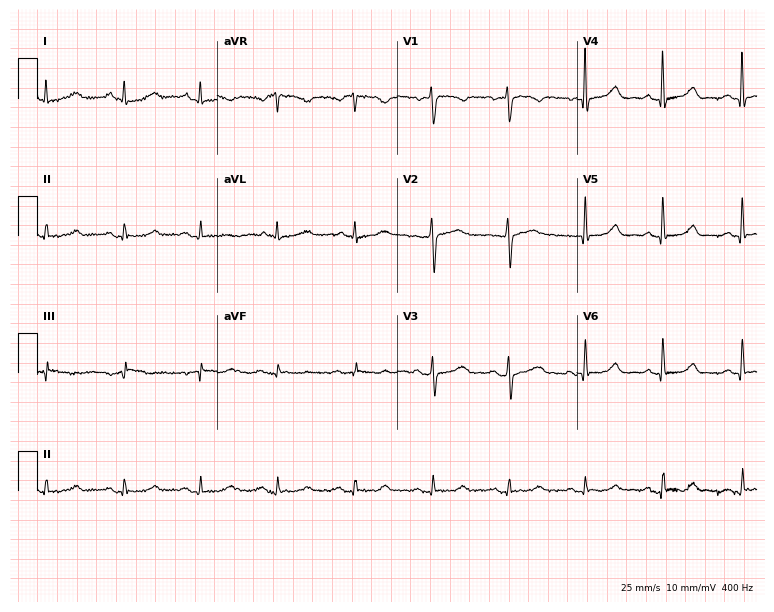
12-lead ECG (7.3-second recording at 400 Hz) from a 48-year-old woman. Labelled as a normal ECG.